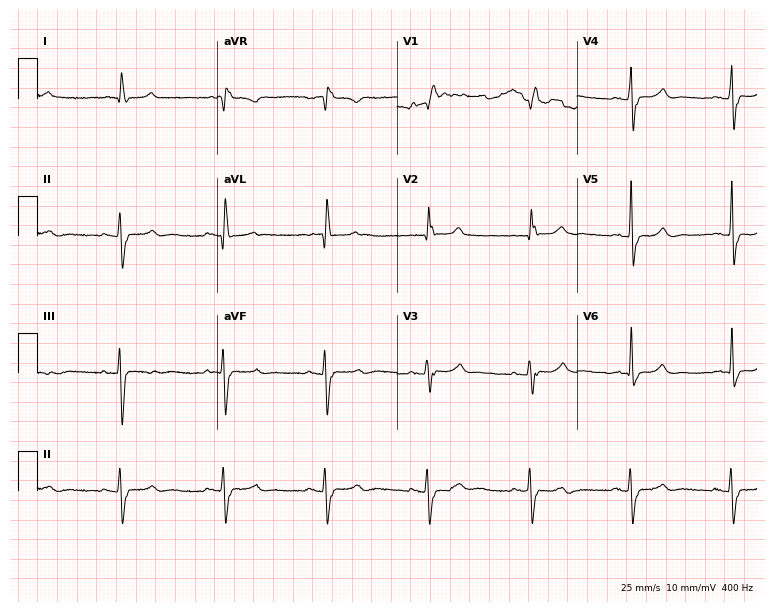
12-lead ECG from a 78-year-old man. Findings include right bundle branch block.